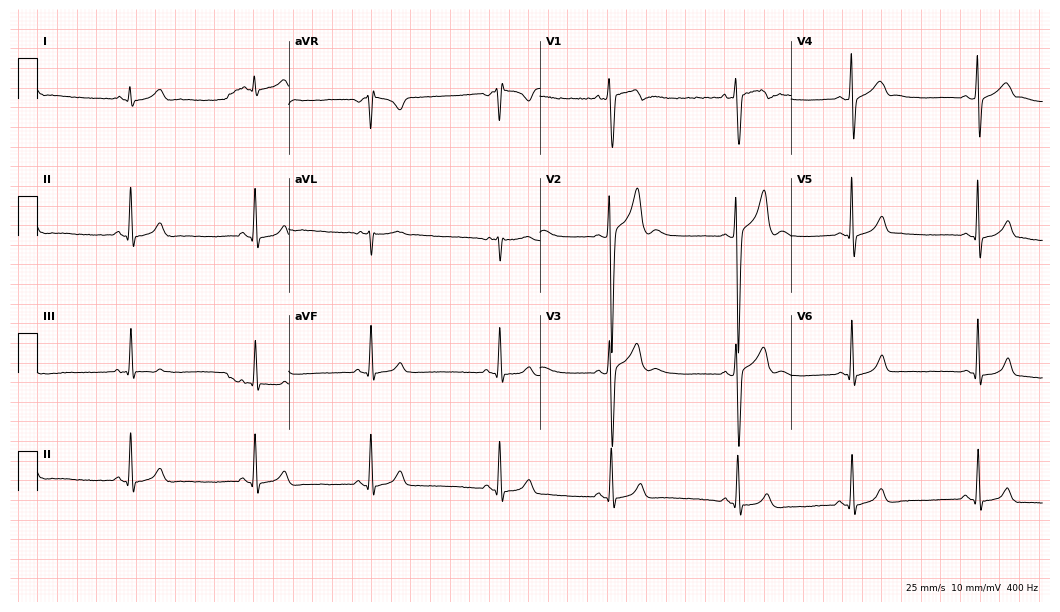
ECG (10.2-second recording at 400 Hz) — a man, 19 years old. Screened for six findings — first-degree AV block, right bundle branch block, left bundle branch block, sinus bradycardia, atrial fibrillation, sinus tachycardia — none is recorded.